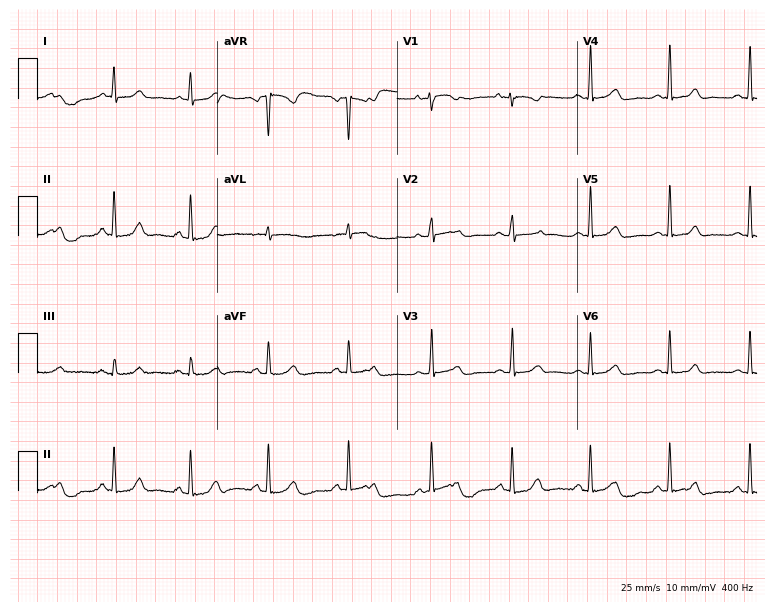
12-lead ECG from a 34-year-old male patient. Labelled as a normal ECG.